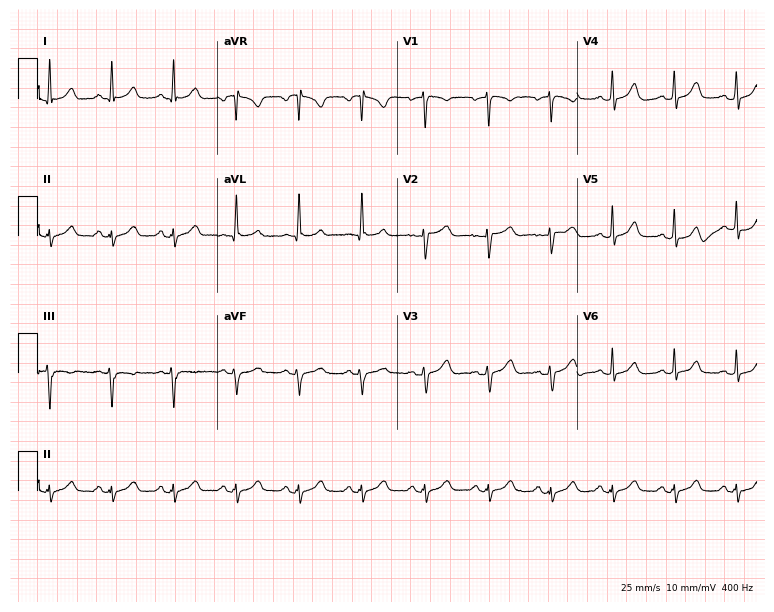
Electrocardiogram (7.3-second recording at 400 Hz), a 39-year-old woman. Of the six screened findings (first-degree AV block, right bundle branch block, left bundle branch block, sinus bradycardia, atrial fibrillation, sinus tachycardia), none is recorded. Findings outside these six are not listed.